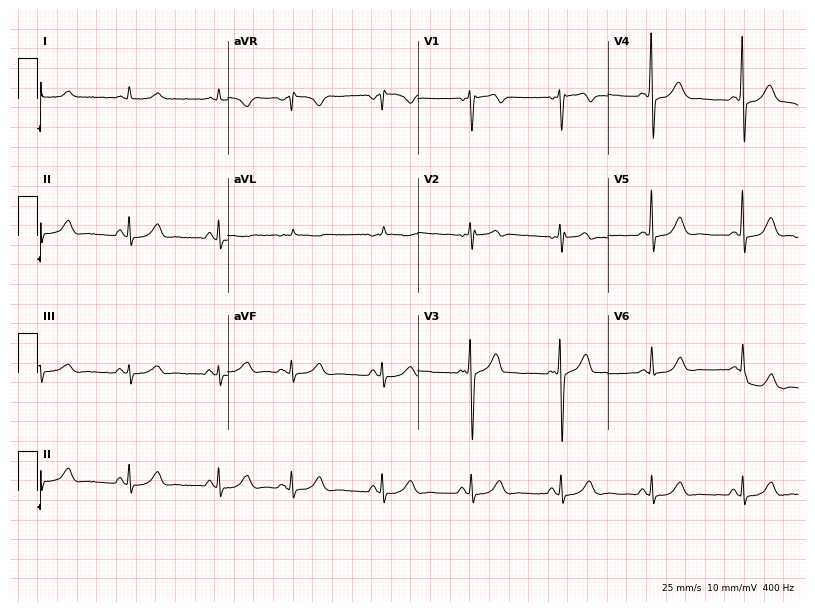
Electrocardiogram (7.8-second recording at 400 Hz), a 45-year-old man. Overall reading on record: normal ECG.